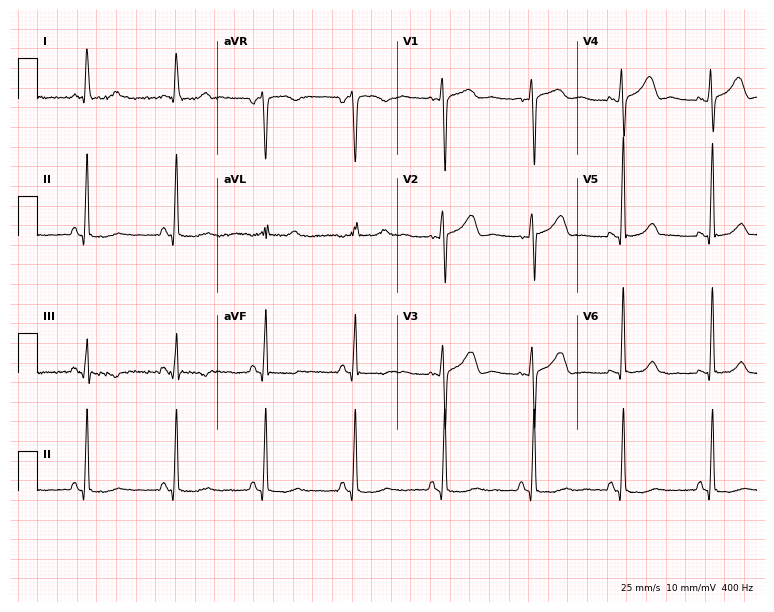
Standard 12-lead ECG recorded from a female patient, 48 years old. Read as a normal ECG.